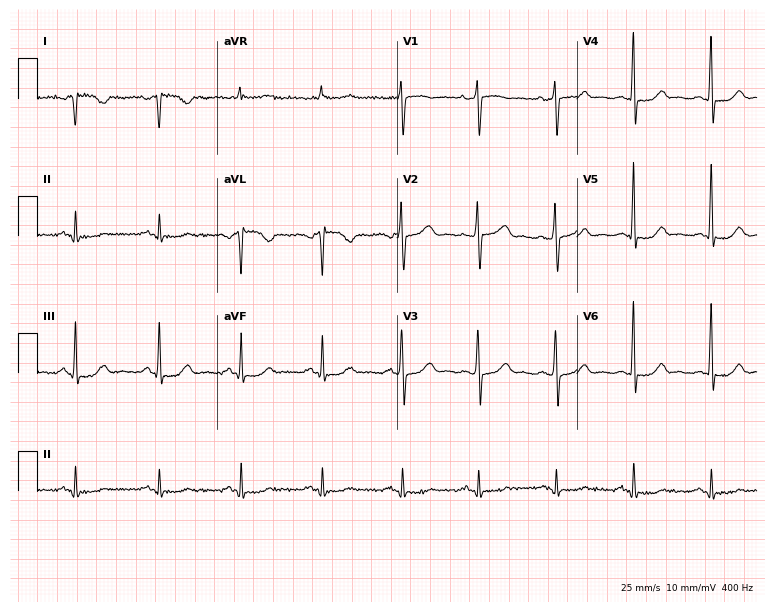
Resting 12-lead electrocardiogram (7.3-second recording at 400 Hz). Patient: a woman, 57 years old. Read as a normal ECG.